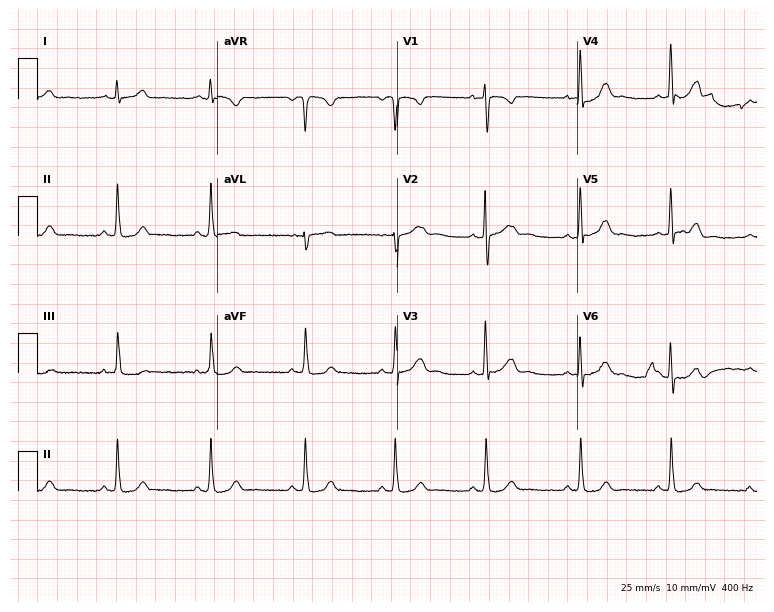
12-lead ECG (7.3-second recording at 400 Hz) from a 22-year-old female patient. Screened for six findings — first-degree AV block, right bundle branch block, left bundle branch block, sinus bradycardia, atrial fibrillation, sinus tachycardia — none is recorded. Other findings, if any, are not listed.